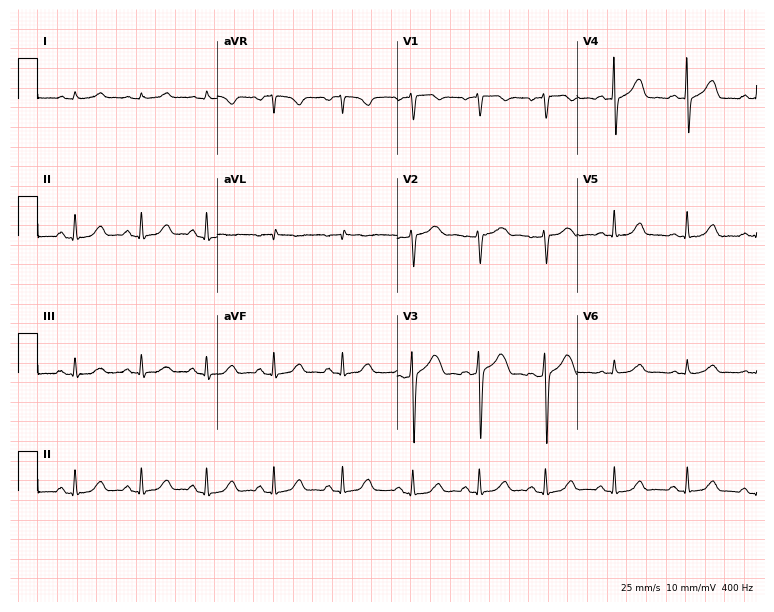
ECG (7.3-second recording at 400 Hz) — a 54-year-old female. Labelled as a normal ECG.